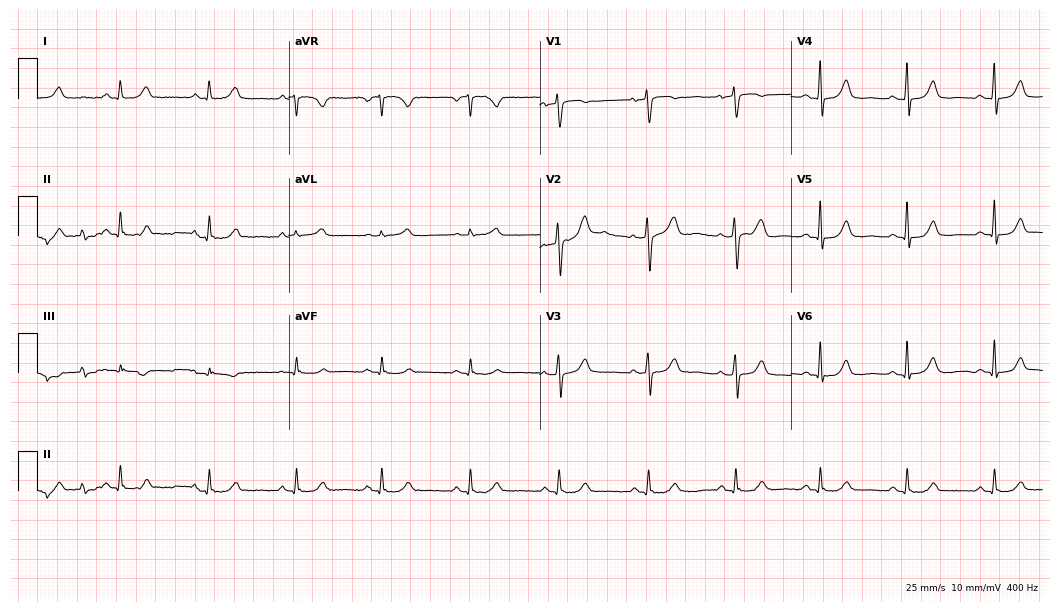
Electrocardiogram, a 47-year-old female patient. Overall reading on record: normal ECG.